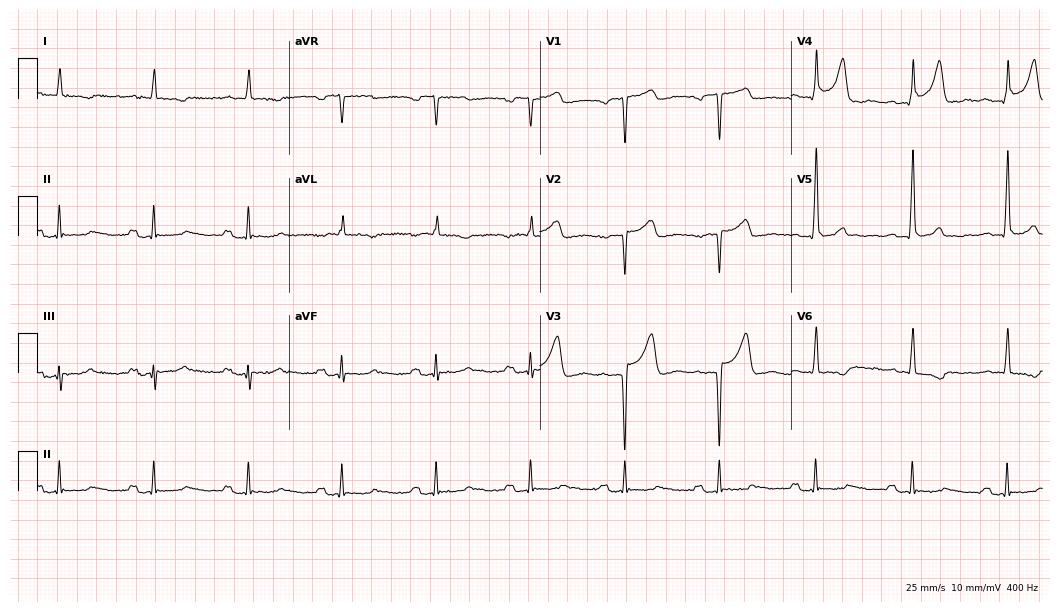
12-lead ECG (10.2-second recording at 400 Hz) from a male, 65 years old. Findings include first-degree AV block.